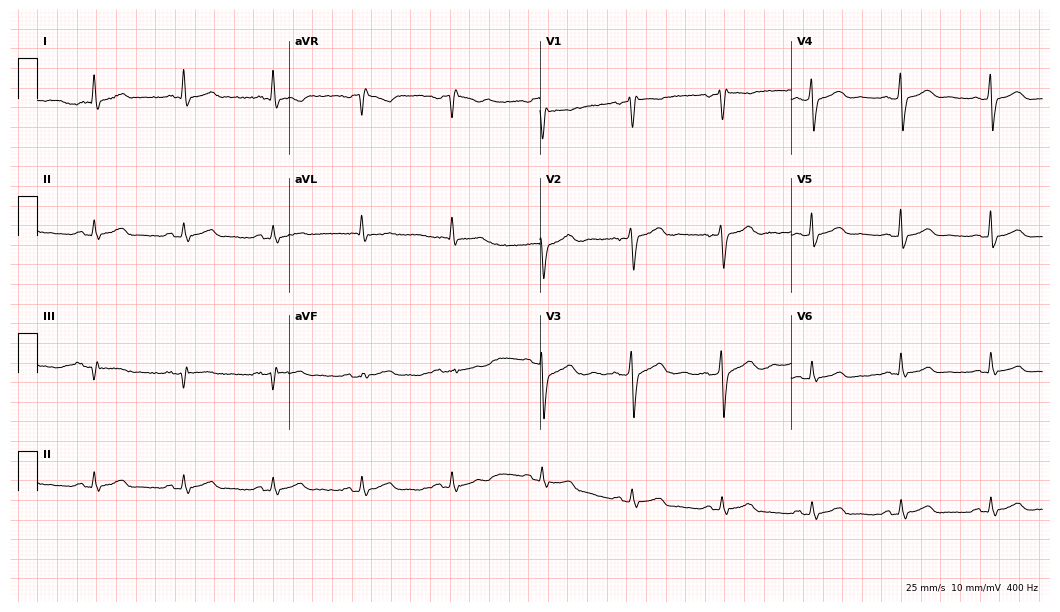
Electrocardiogram (10.2-second recording at 400 Hz), a 53-year-old female patient. Of the six screened findings (first-degree AV block, right bundle branch block (RBBB), left bundle branch block (LBBB), sinus bradycardia, atrial fibrillation (AF), sinus tachycardia), none is recorded. Only these six findings were labelled.